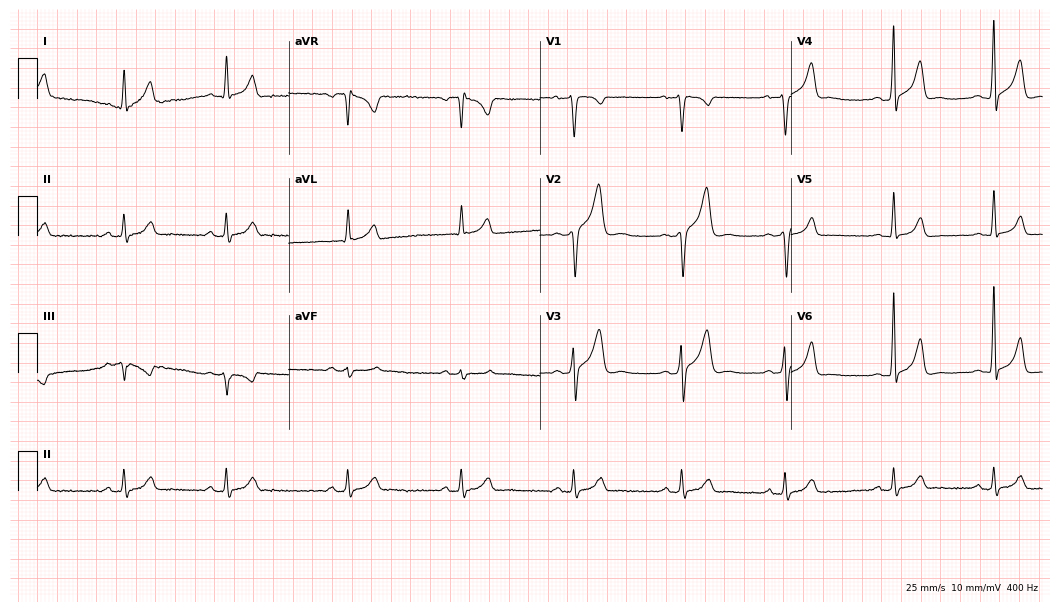
Electrocardiogram (10.2-second recording at 400 Hz), a male, 45 years old. Of the six screened findings (first-degree AV block, right bundle branch block, left bundle branch block, sinus bradycardia, atrial fibrillation, sinus tachycardia), none is recorded. Other findings, if any, are not listed.